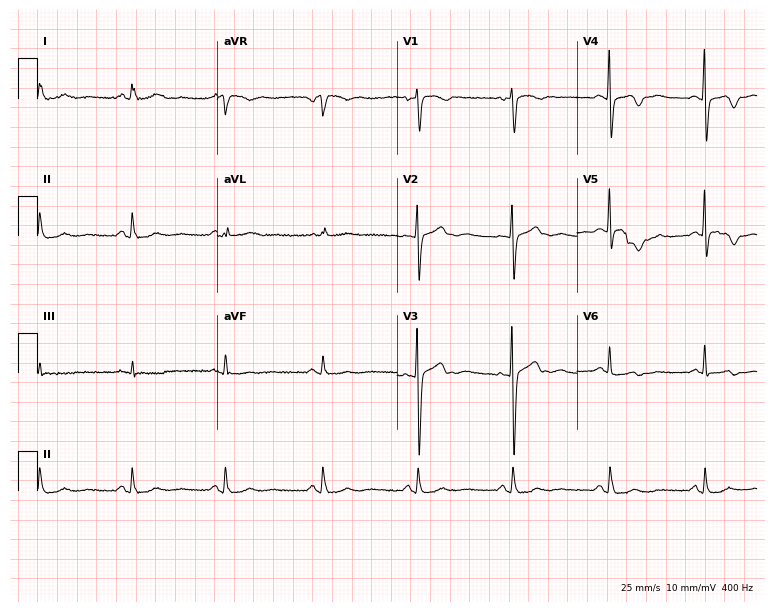
12-lead ECG from a female, 47 years old. Screened for six findings — first-degree AV block, right bundle branch block, left bundle branch block, sinus bradycardia, atrial fibrillation, sinus tachycardia — none is recorded. Findings outside these six are not listed.